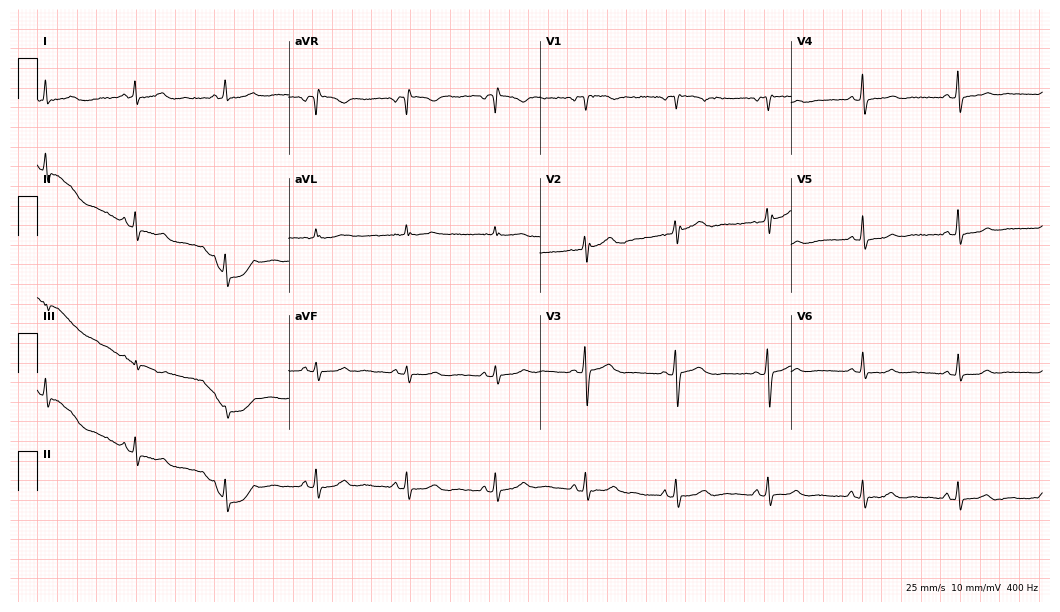
Resting 12-lead electrocardiogram. Patient: a 48-year-old woman. Read as a normal ECG.